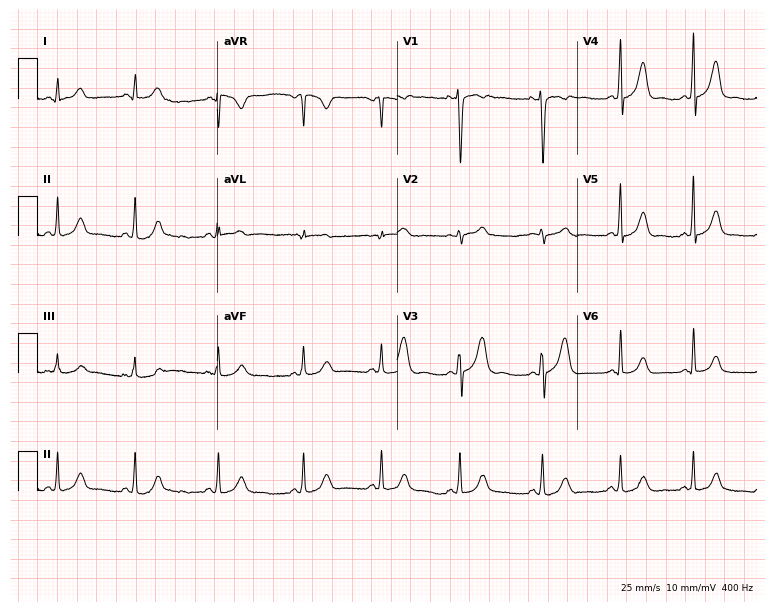
12-lead ECG from a female patient, 21 years old. No first-degree AV block, right bundle branch block, left bundle branch block, sinus bradycardia, atrial fibrillation or sinus tachycardia recorded for this tracing.